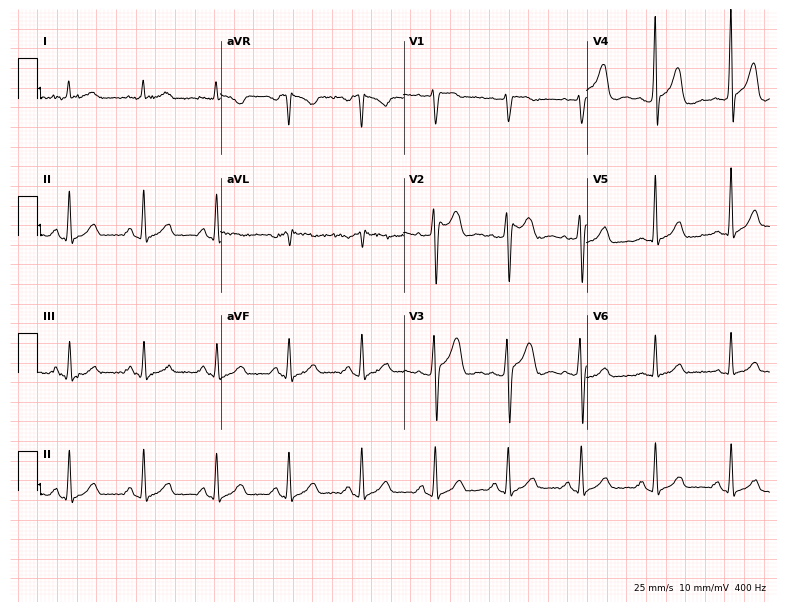
ECG (7.5-second recording at 400 Hz) — a male, 54 years old. Screened for six findings — first-degree AV block, right bundle branch block, left bundle branch block, sinus bradycardia, atrial fibrillation, sinus tachycardia — none is recorded. Findings outside these six are not listed.